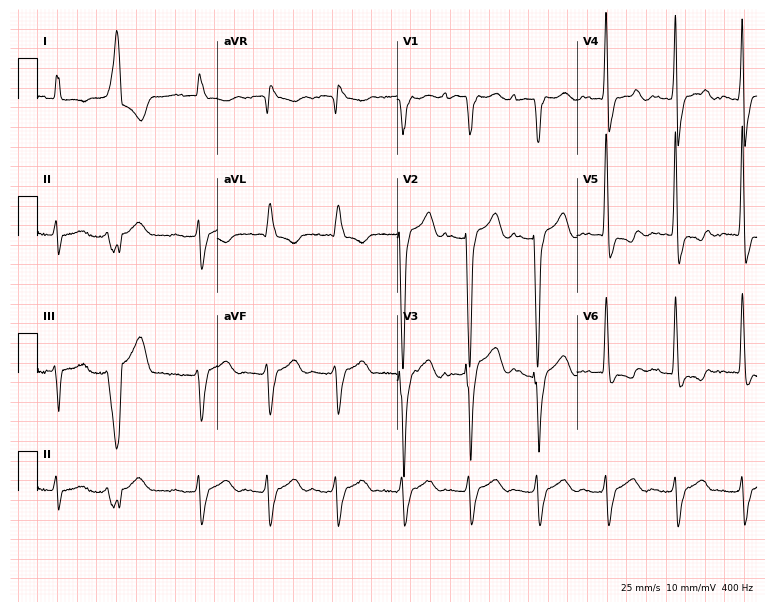
Electrocardiogram, an 83-year-old male patient. Interpretation includes first-degree AV block, left bundle branch block (LBBB).